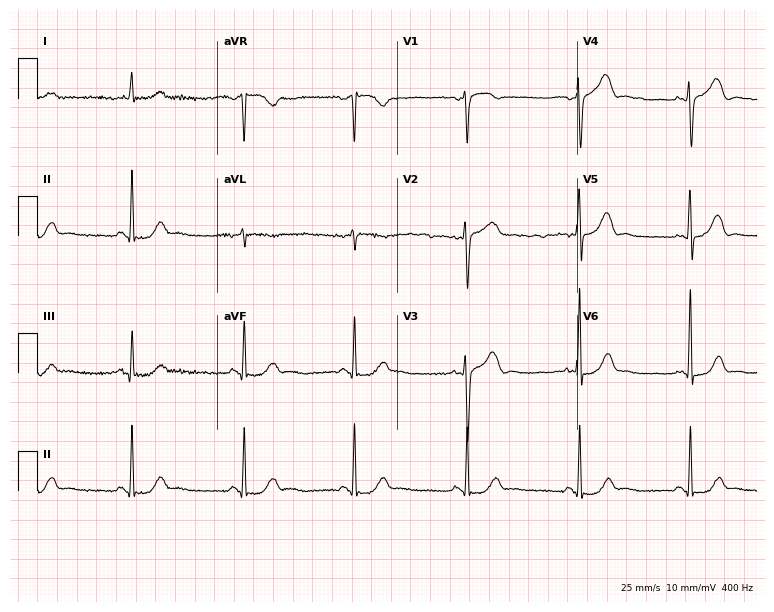
Resting 12-lead electrocardiogram (7.3-second recording at 400 Hz). Patient: a woman, 62 years old. Read as a normal ECG.